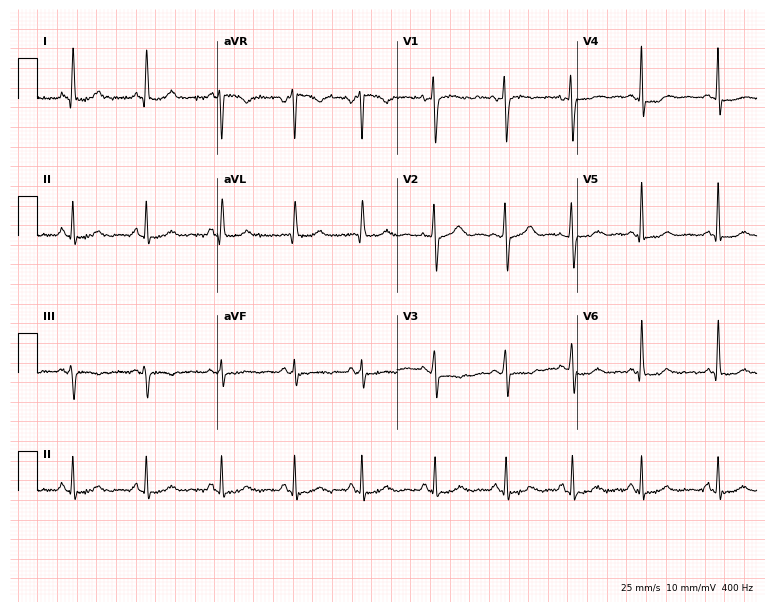
ECG — a 33-year-old woman. Screened for six findings — first-degree AV block, right bundle branch block, left bundle branch block, sinus bradycardia, atrial fibrillation, sinus tachycardia — none is recorded.